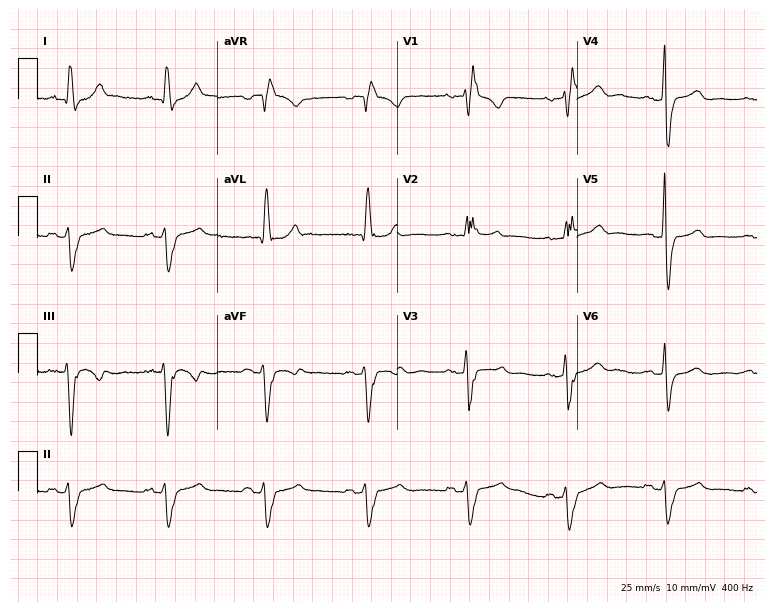
12-lead ECG from a female patient, 71 years old. Screened for six findings — first-degree AV block, right bundle branch block, left bundle branch block, sinus bradycardia, atrial fibrillation, sinus tachycardia — none is recorded. Only these six findings were labelled.